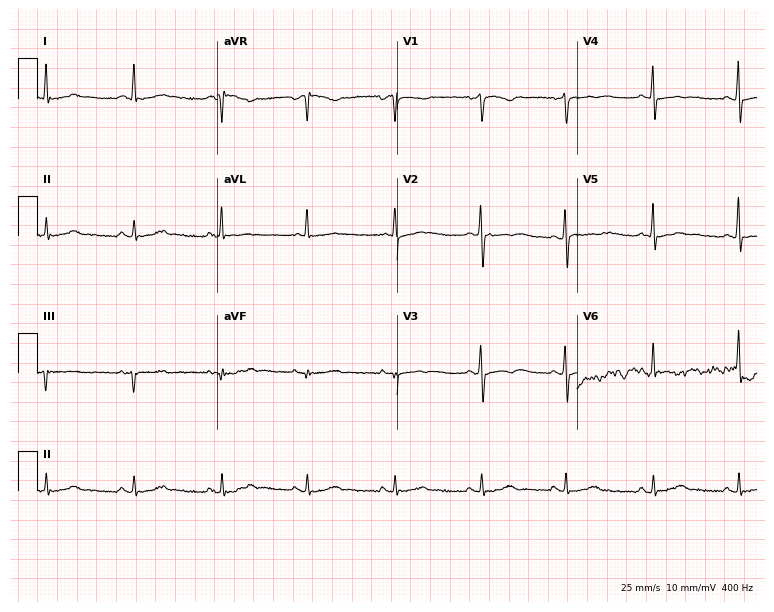
12-lead ECG from a female patient, 44 years old (7.3-second recording at 400 Hz). No first-degree AV block, right bundle branch block (RBBB), left bundle branch block (LBBB), sinus bradycardia, atrial fibrillation (AF) or sinus tachycardia recorded for this tracing.